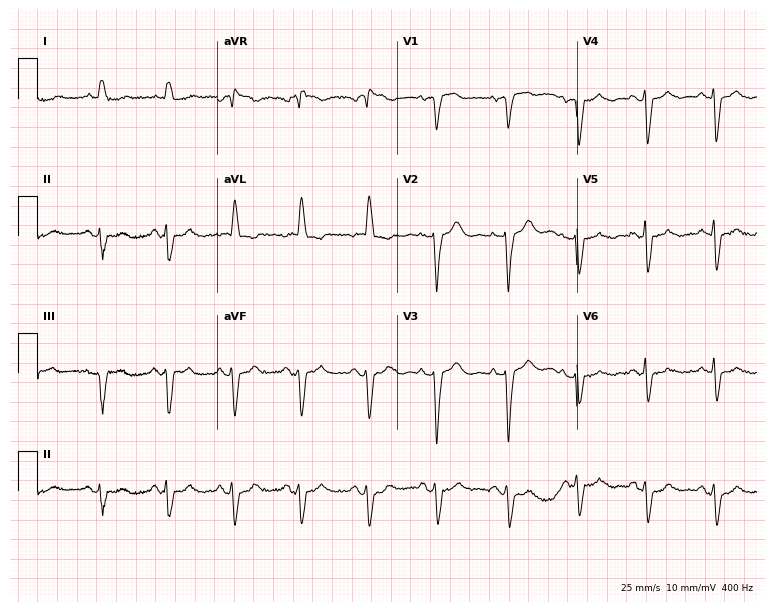
ECG (7.3-second recording at 400 Hz) — a female patient, 82 years old. Screened for six findings — first-degree AV block, right bundle branch block (RBBB), left bundle branch block (LBBB), sinus bradycardia, atrial fibrillation (AF), sinus tachycardia — none is recorded. Other findings, if any, are not listed.